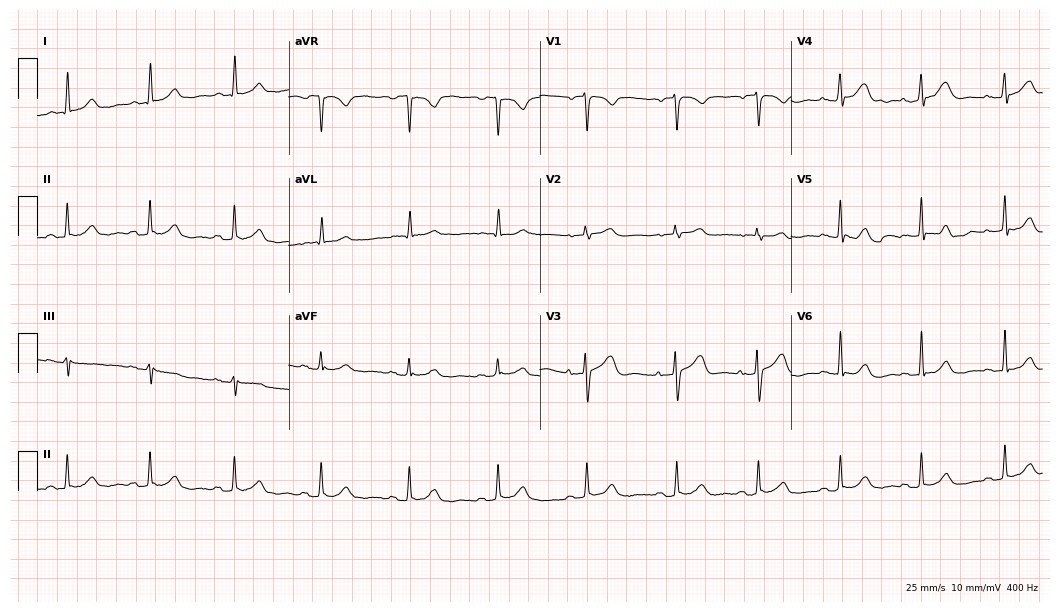
Resting 12-lead electrocardiogram. Patient: a female, 73 years old. Read as a normal ECG.